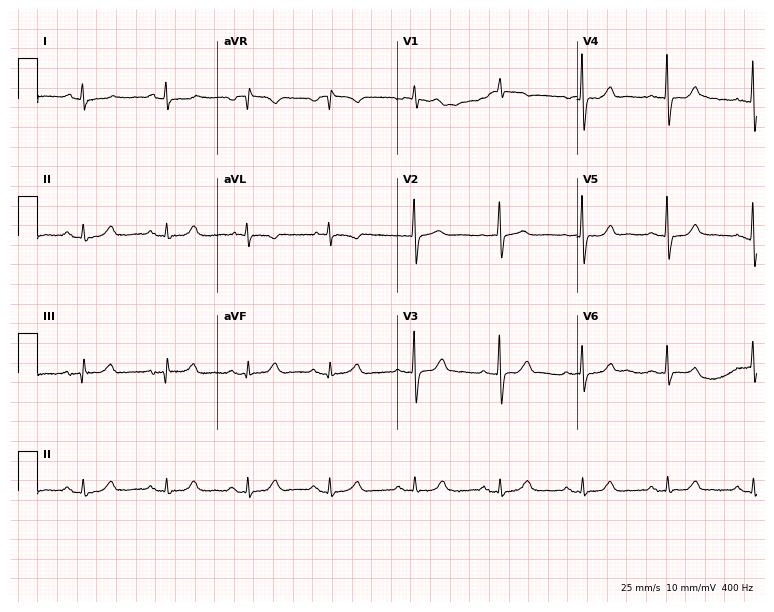
Standard 12-lead ECG recorded from a woman, 67 years old (7.3-second recording at 400 Hz). Read as a normal ECG.